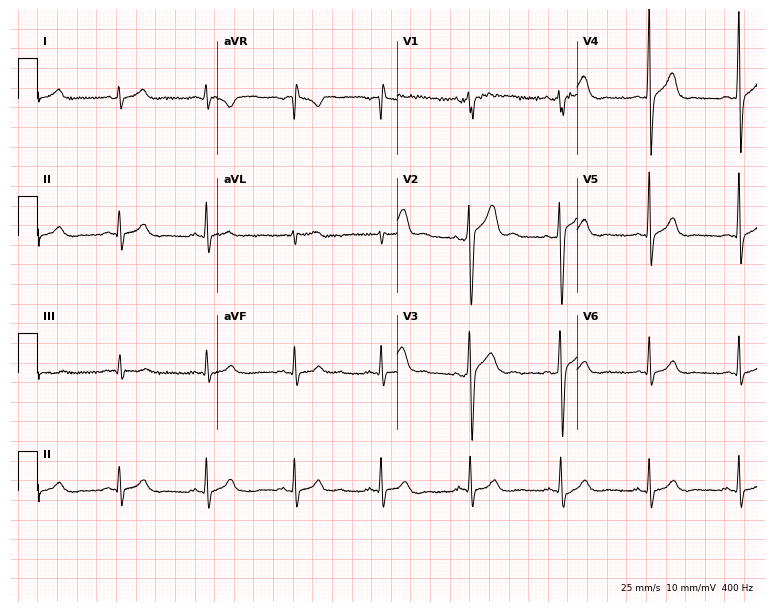
12-lead ECG from a man, 28 years old (7.3-second recording at 400 Hz). Recorded interpretation: within normal limits.